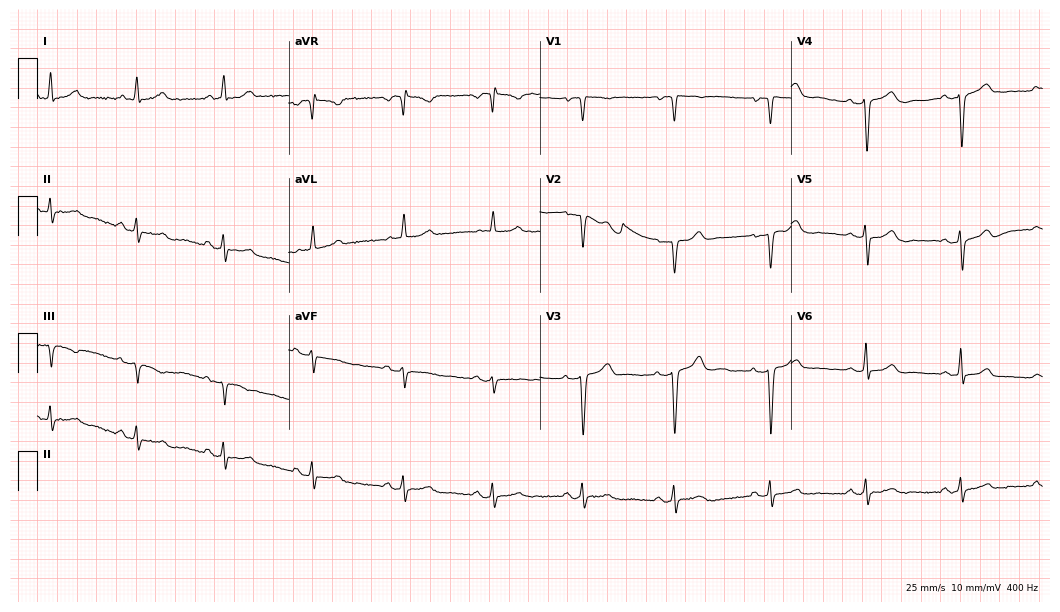
ECG — a 47-year-old male patient. Screened for six findings — first-degree AV block, right bundle branch block, left bundle branch block, sinus bradycardia, atrial fibrillation, sinus tachycardia — none is recorded. Only these six findings were labelled.